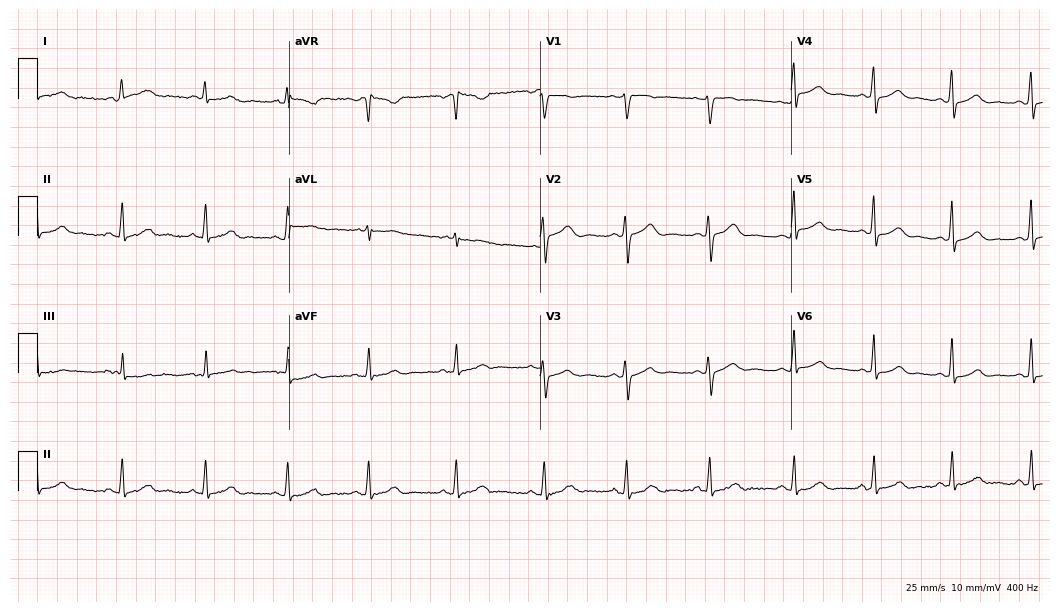
Electrocardiogram (10.2-second recording at 400 Hz), a 41-year-old female patient. Overall reading on record: normal ECG.